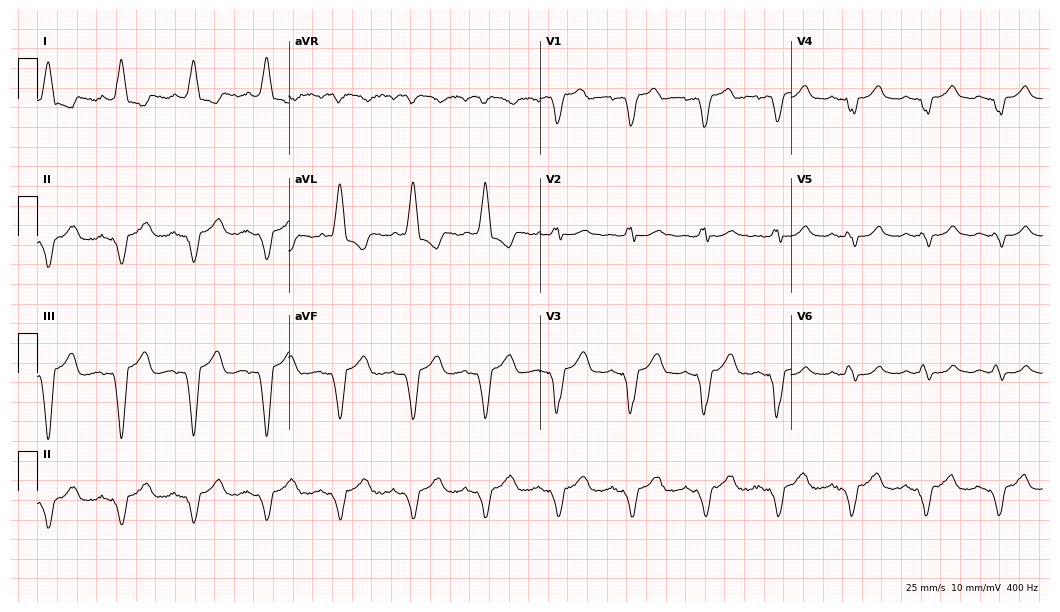
Standard 12-lead ECG recorded from a 51-year-old female. The tracing shows left bundle branch block.